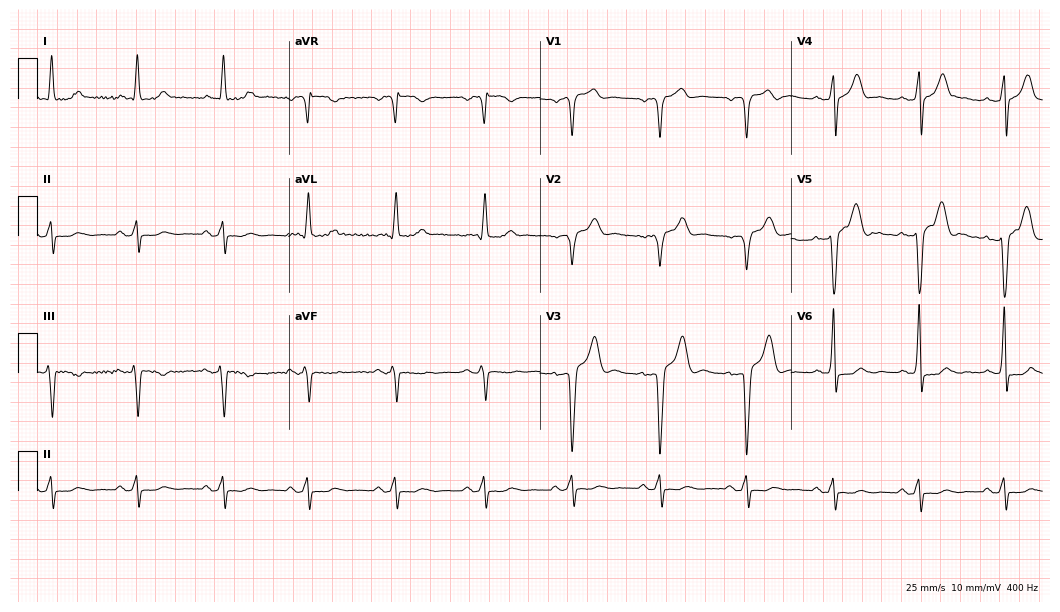
Electrocardiogram, a male patient, 69 years old. Of the six screened findings (first-degree AV block, right bundle branch block, left bundle branch block, sinus bradycardia, atrial fibrillation, sinus tachycardia), none is recorded.